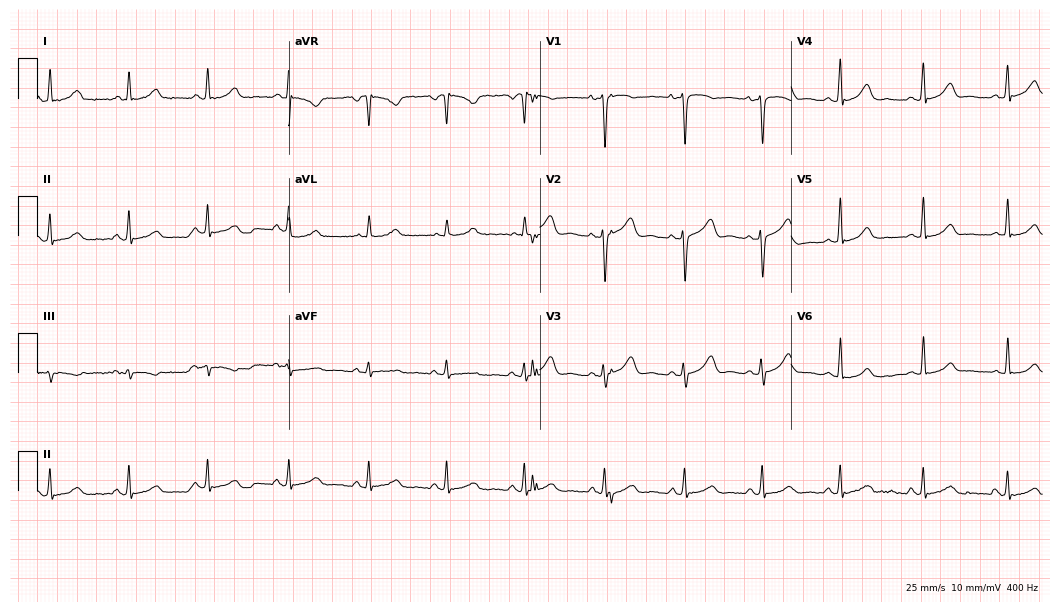
Electrocardiogram, a woman, 46 years old. Overall reading on record: normal ECG.